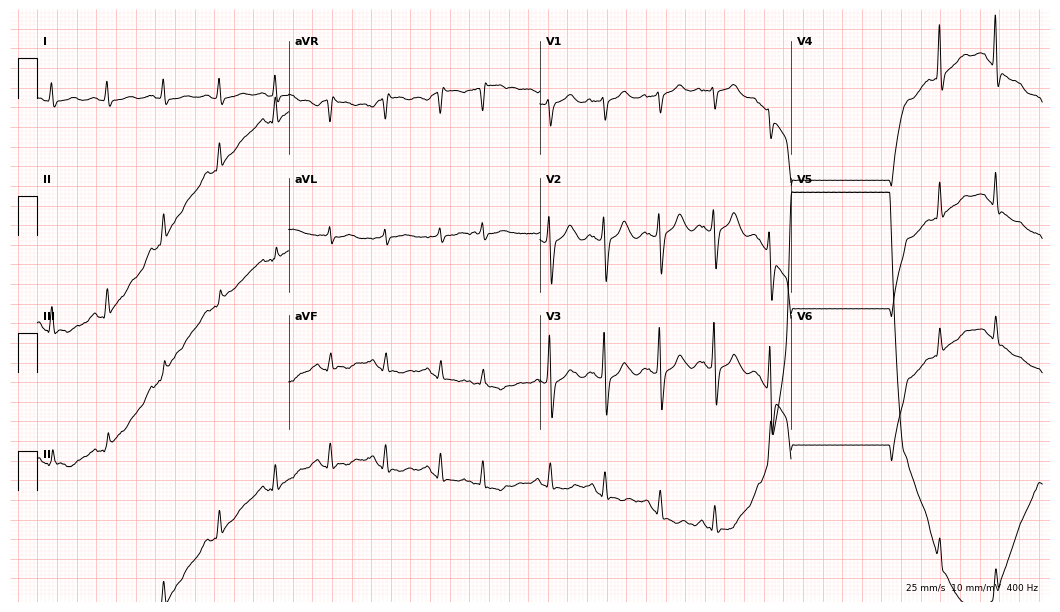
ECG (10.2-second recording at 400 Hz) — a 79-year-old female. Screened for six findings — first-degree AV block, right bundle branch block (RBBB), left bundle branch block (LBBB), sinus bradycardia, atrial fibrillation (AF), sinus tachycardia — none is recorded.